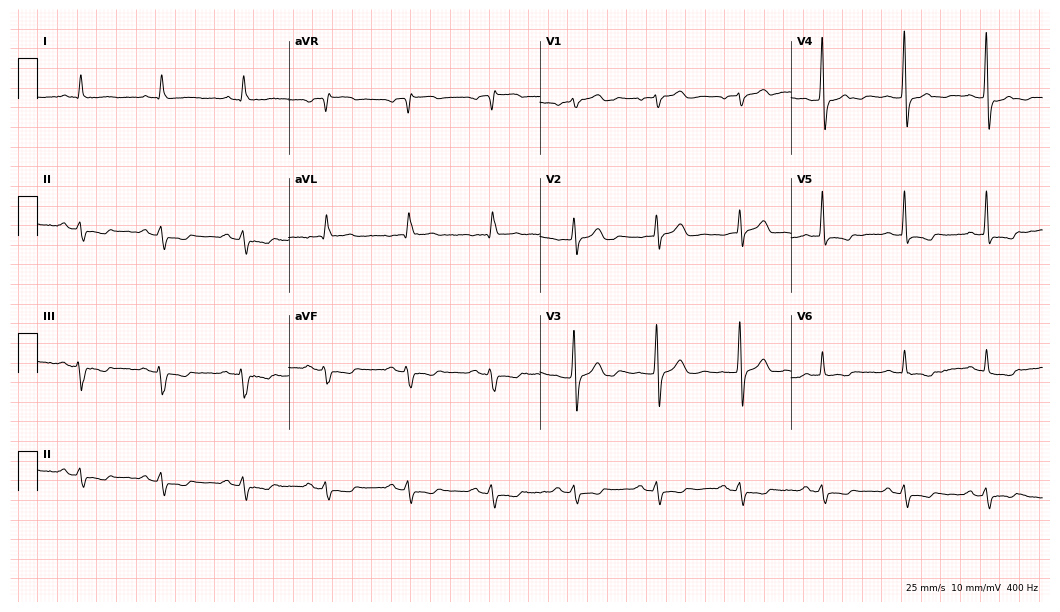
12-lead ECG (10.2-second recording at 400 Hz) from a male patient, 78 years old. Screened for six findings — first-degree AV block, right bundle branch block (RBBB), left bundle branch block (LBBB), sinus bradycardia, atrial fibrillation (AF), sinus tachycardia — none is recorded.